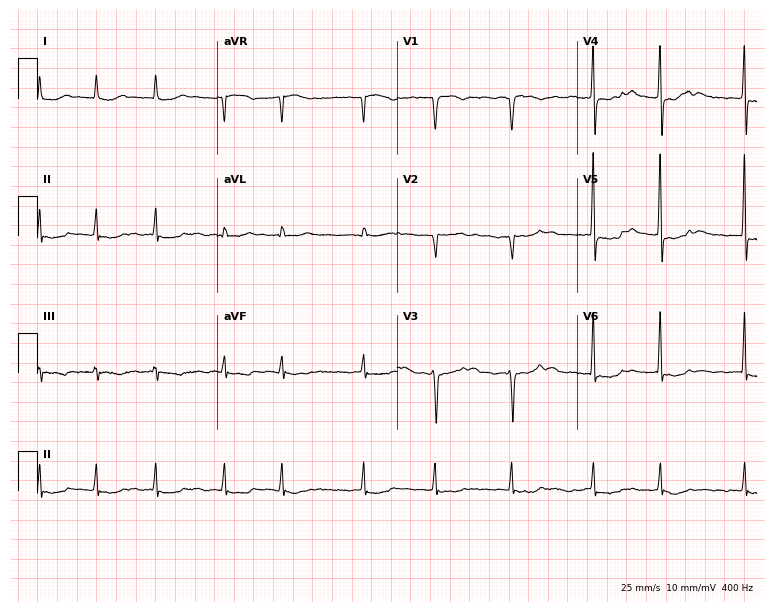
12-lead ECG from a female patient, 75 years old (7.3-second recording at 400 Hz). Shows atrial fibrillation.